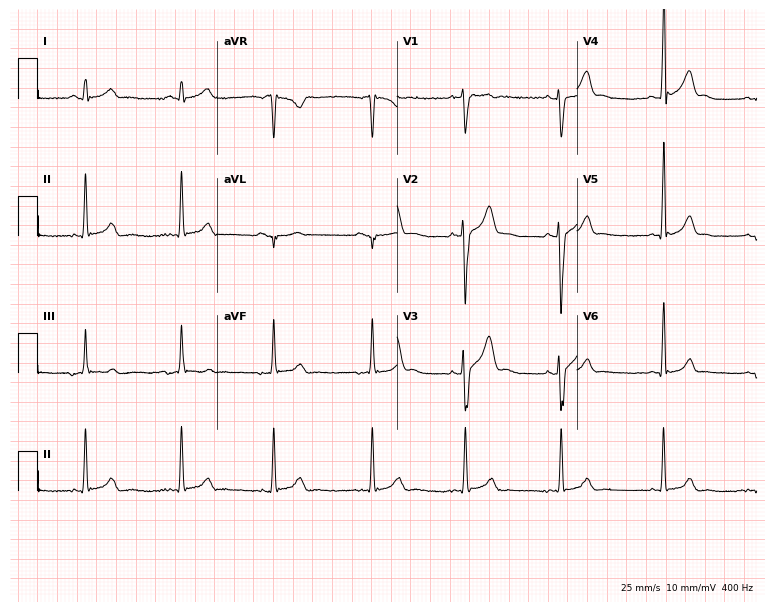
12-lead ECG from a male patient, 20 years old. Labelled as a normal ECG.